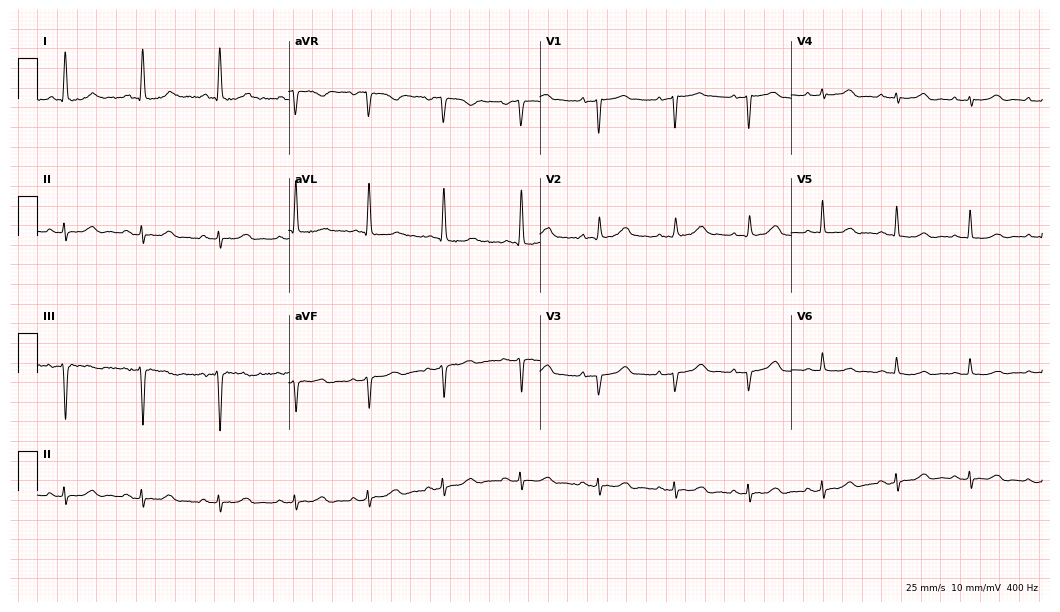
Electrocardiogram (10.2-second recording at 400 Hz), an 80-year-old female patient. Of the six screened findings (first-degree AV block, right bundle branch block (RBBB), left bundle branch block (LBBB), sinus bradycardia, atrial fibrillation (AF), sinus tachycardia), none is recorded.